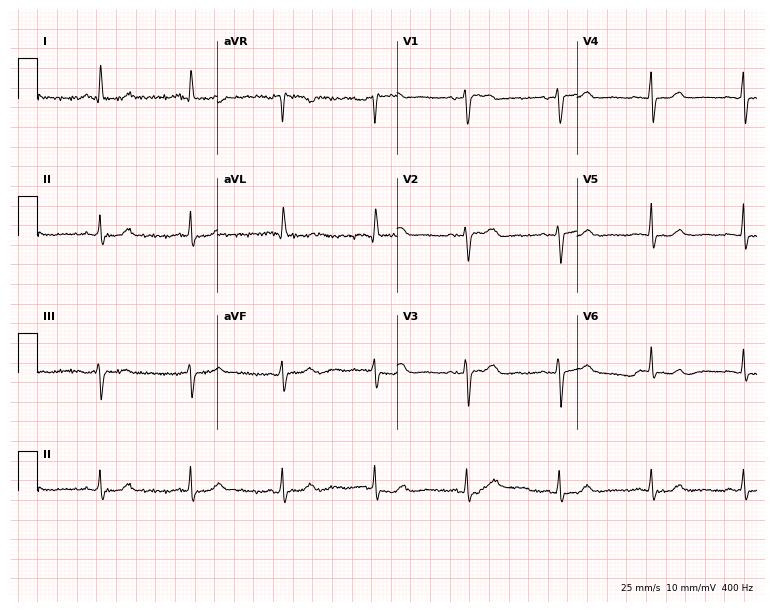
12-lead ECG from a 70-year-old female patient. Recorded interpretation: within normal limits.